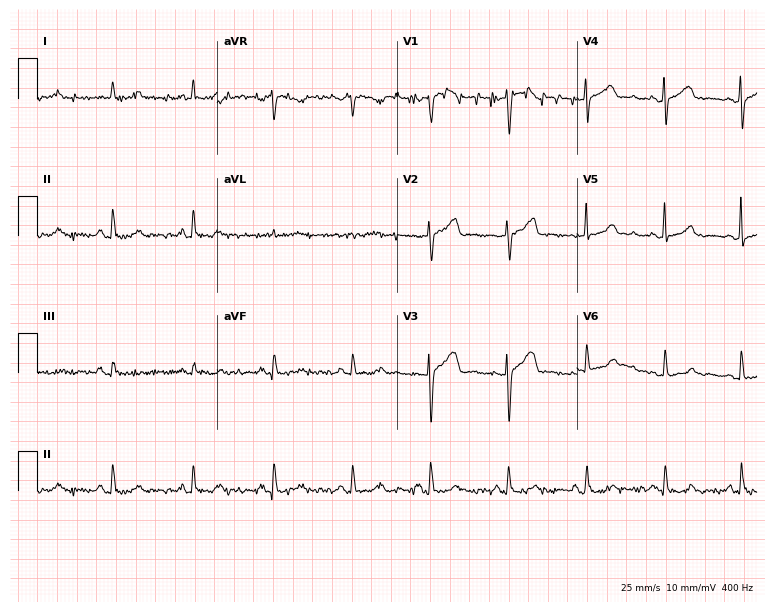
ECG (7.3-second recording at 400 Hz) — a 59-year-old female patient. Labelled as a normal ECG.